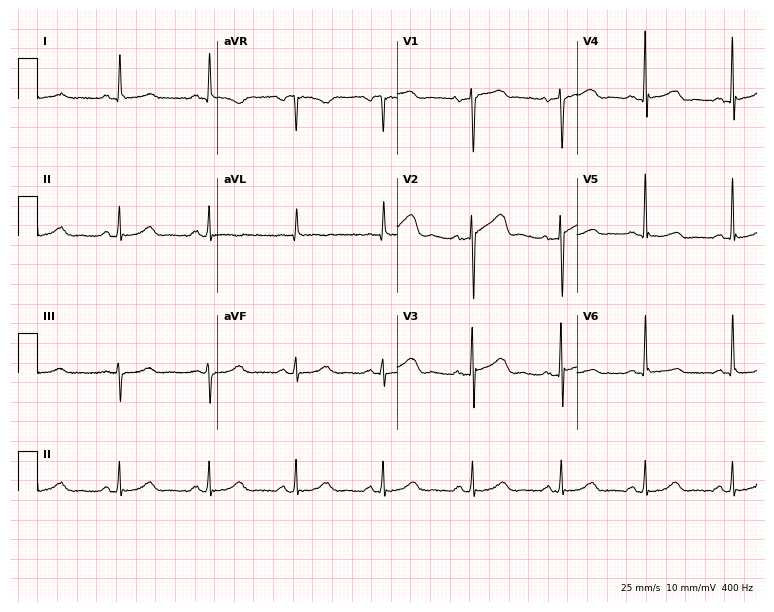
Electrocardiogram (7.3-second recording at 400 Hz), a female patient, 70 years old. Overall reading on record: normal ECG.